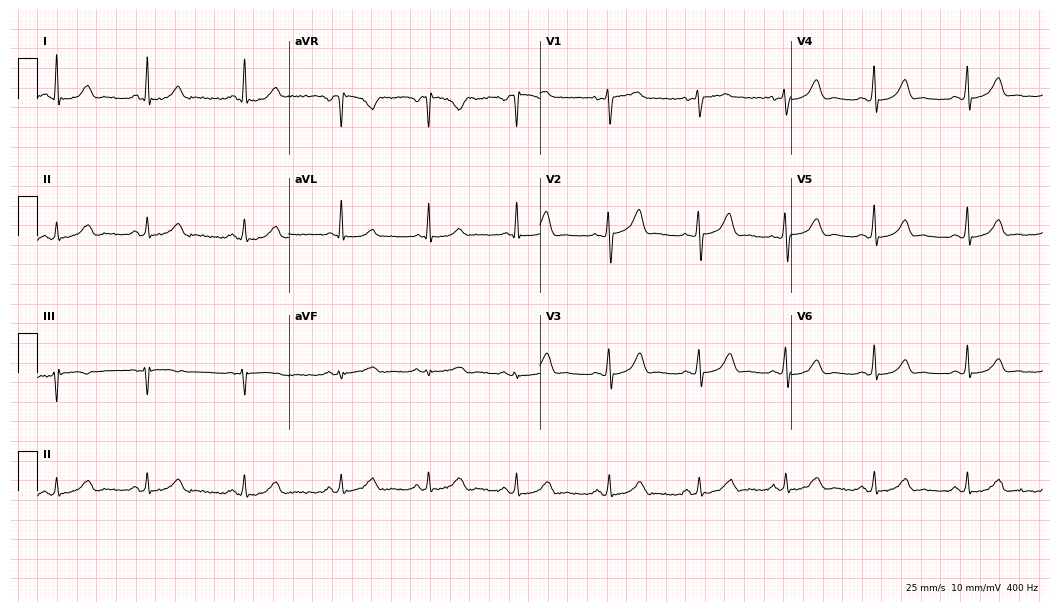
12-lead ECG from a 46-year-old woman. Recorded interpretation: within normal limits.